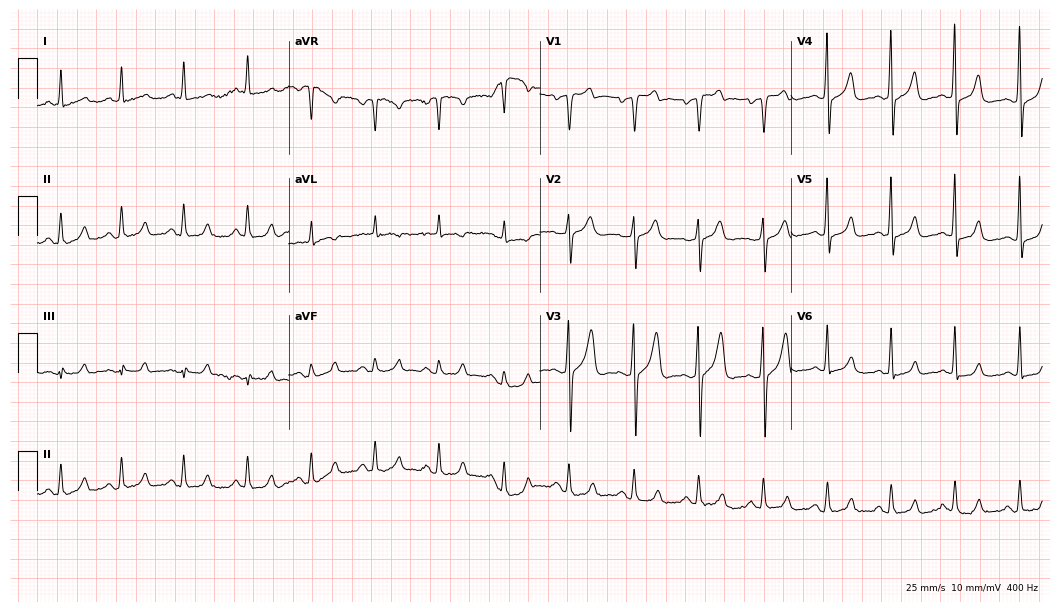
12-lead ECG (10.2-second recording at 400 Hz) from a male patient, 42 years old. Labelled as a normal ECG.